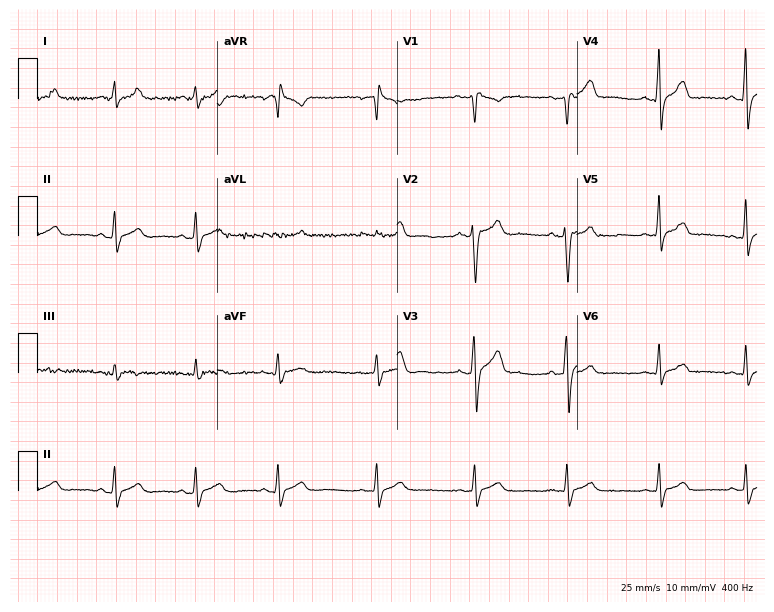
12-lead ECG from a 36-year-old man (7.3-second recording at 400 Hz). No first-degree AV block, right bundle branch block (RBBB), left bundle branch block (LBBB), sinus bradycardia, atrial fibrillation (AF) or sinus tachycardia recorded for this tracing.